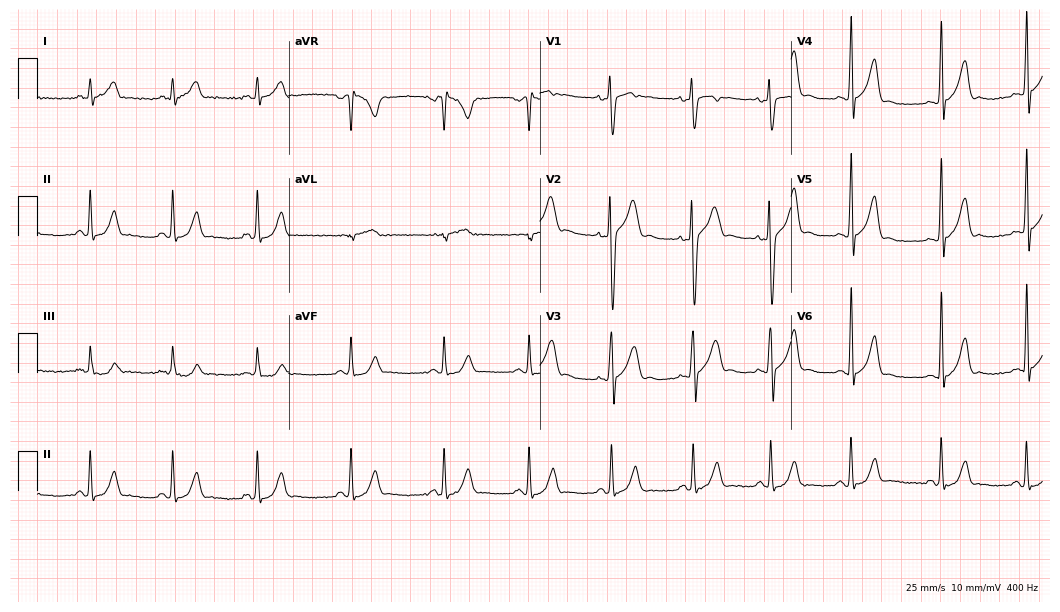
Standard 12-lead ECG recorded from a man, 29 years old (10.2-second recording at 400 Hz). Read as a normal ECG.